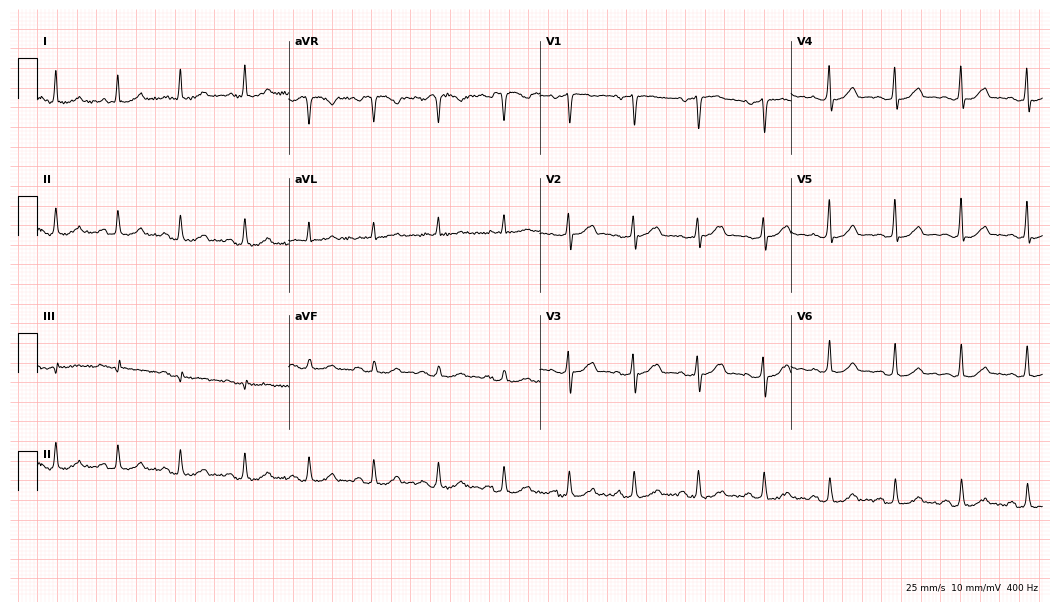
Resting 12-lead electrocardiogram (10.2-second recording at 400 Hz). Patient: a 65-year-old female. None of these six findings is recorded: first-degree AV block, right bundle branch block, left bundle branch block, sinus bradycardia, atrial fibrillation, sinus tachycardia. Other findings, if any, are not listed.